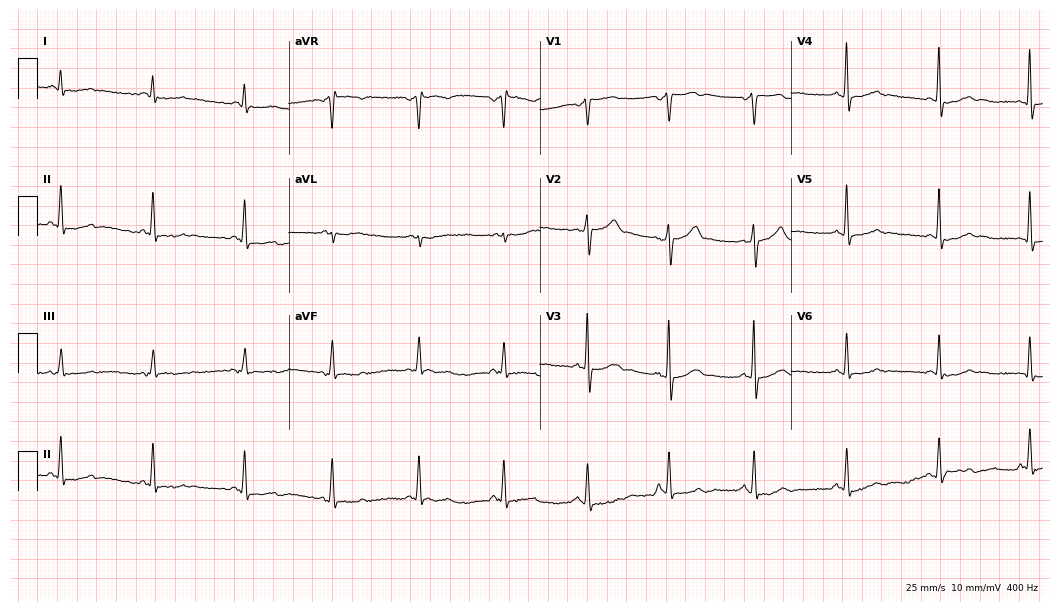
ECG (10.2-second recording at 400 Hz) — a 47-year-old male. Screened for six findings — first-degree AV block, right bundle branch block (RBBB), left bundle branch block (LBBB), sinus bradycardia, atrial fibrillation (AF), sinus tachycardia — none is recorded. Findings outside these six are not listed.